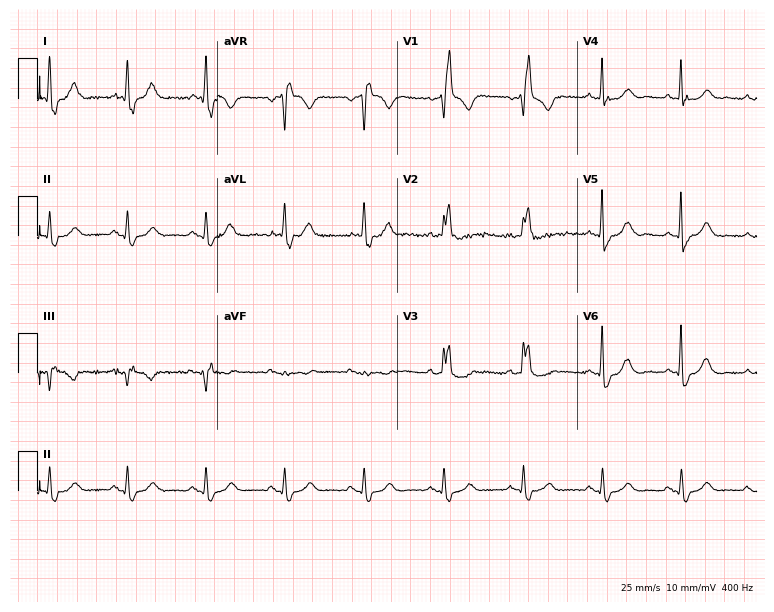
Standard 12-lead ECG recorded from a male patient, 58 years old (7.3-second recording at 400 Hz). The tracing shows right bundle branch block (RBBB).